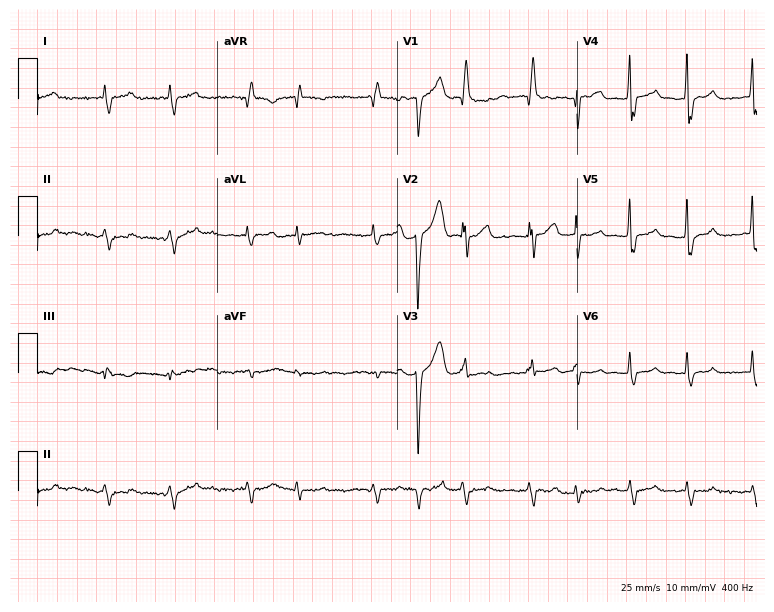
Electrocardiogram (7.3-second recording at 400 Hz), a 68-year-old male patient. Of the six screened findings (first-degree AV block, right bundle branch block, left bundle branch block, sinus bradycardia, atrial fibrillation, sinus tachycardia), none is recorded. Other findings, if any, are not listed.